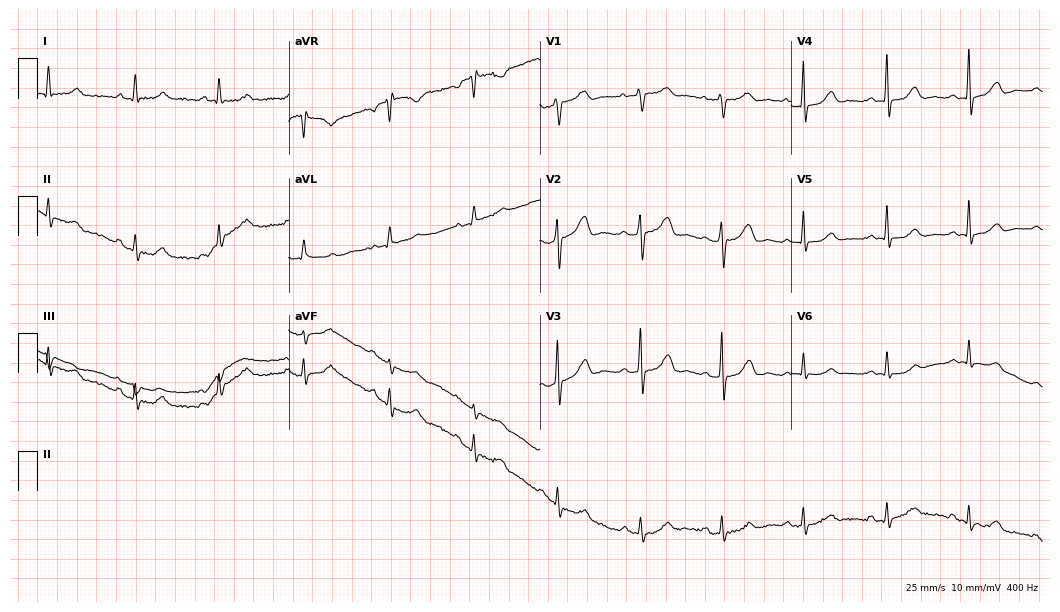
12-lead ECG from a female patient, 45 years old (10.2-second recording at 400 Hz). Recorded interpretation: within normal limits.